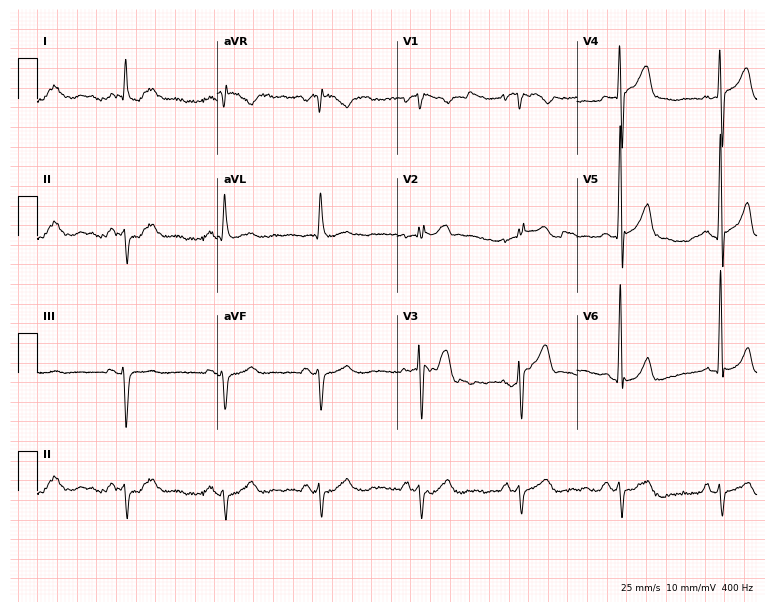
ECG — a man, 58 years old. Screened for six findings — first-degree AV block, right bundle branch block (RBBB), left bundle branch block (LBBB), sinus bradycardia, atrial fibrillation (AF), sinus tachycardia — none is recorded.